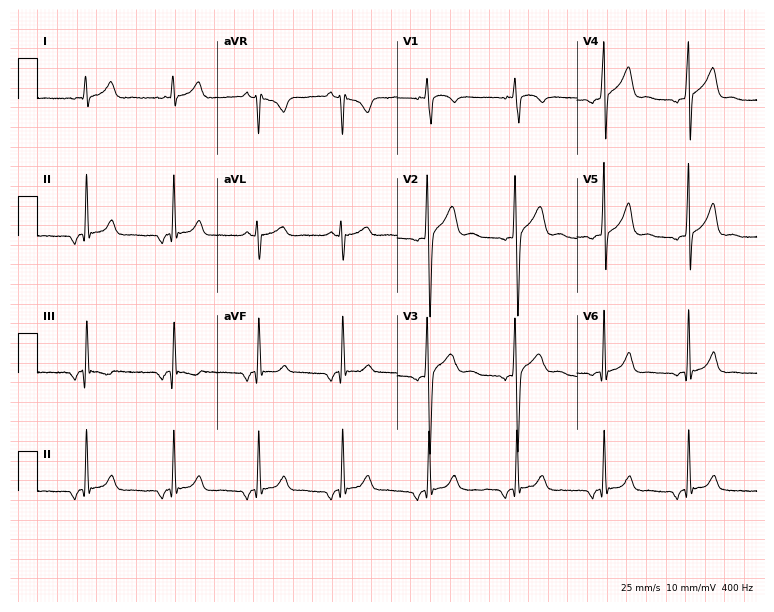
ECG — a 17-year-old male. Screened for six findings — first-degree AV block, right bundle branch block (RBBB), left bundle branch block (LBBB), sinus bradycardia, atrial fibrillation (AF), sinus tachycardia — none is recorded.